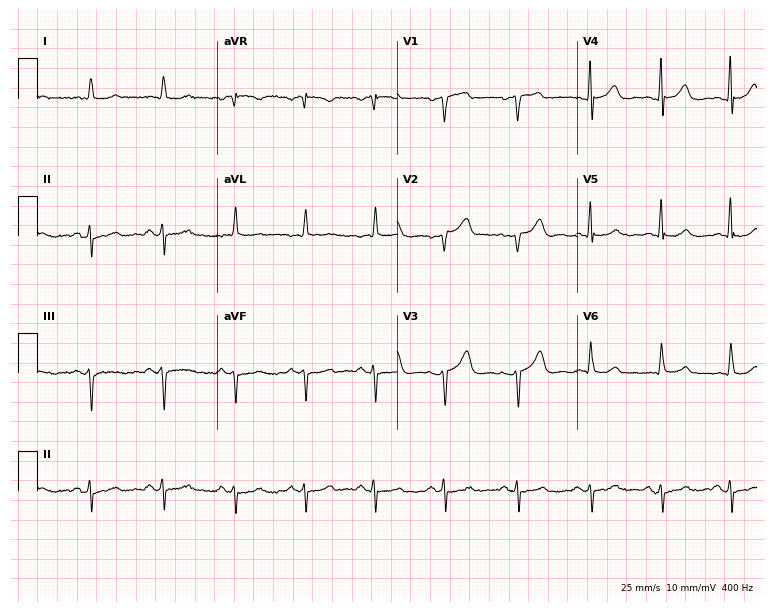
ECG — a 62-year-old female. Screened for six findings — first-degree AV block, right bundle branch block, left bundle branch block, sinus bradycardia, atrial fibrillation, sinus tachycardia — none is recorded.